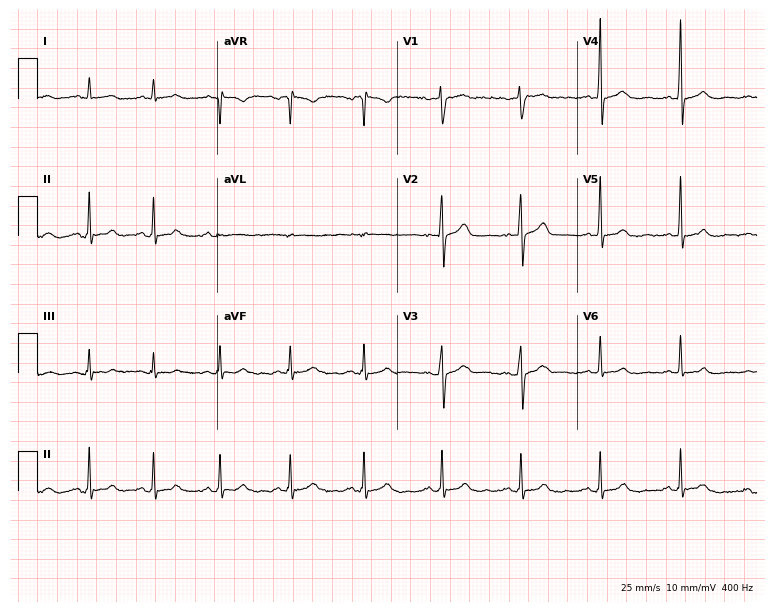
Electrocardiogram (7.3-second recording at 400 Hz), a 51-year-old male patient. Overall reading on record: normal ECG.